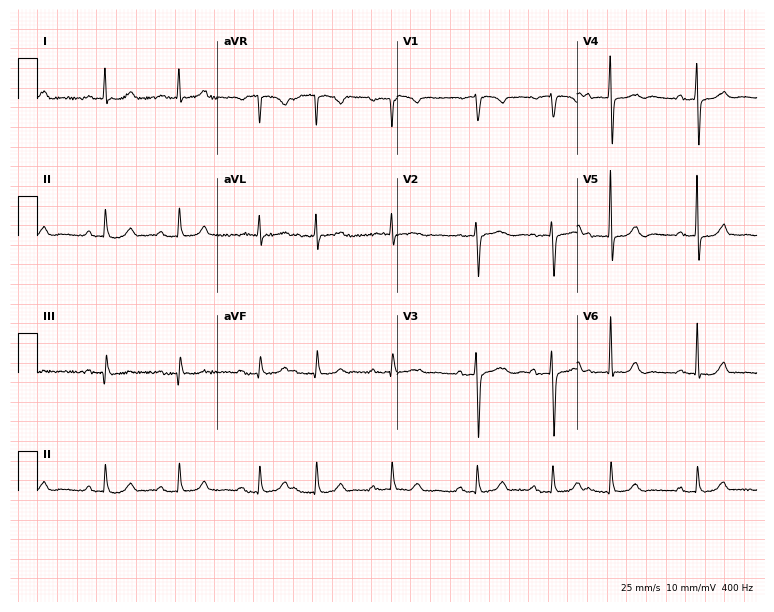
12-lead ECG (7.3-second recording at 400 Hz) from a 60-year-old woman. Screened for six findings — first-degree AV block, right bundle branch block, left bundle branch block, sinus bradycardia, atrial fibrillation, sinus tachycardia — none is recorded. Other findings, if any, are not listed.